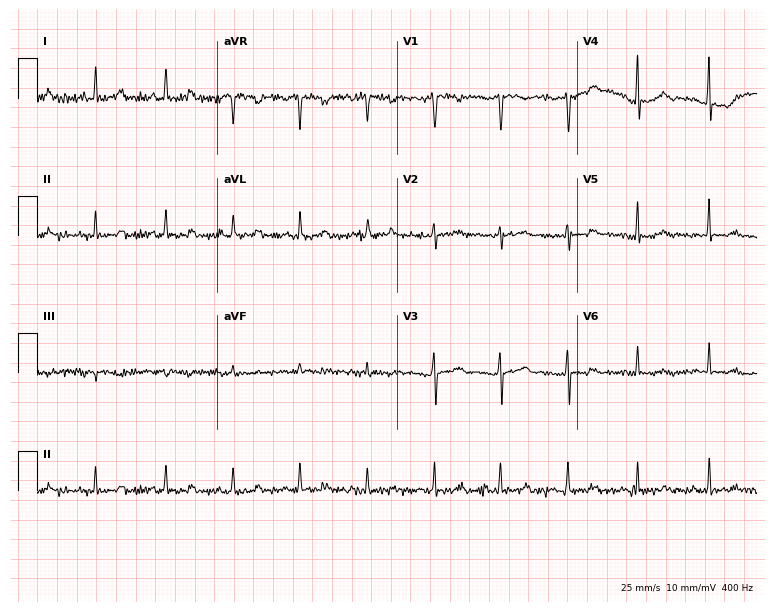
Resting 12-lead electrocardiogram. Patient: a 37-year-old female. None of these six findings is recorded: first-degree AV block, right bundle branch block (RBBB), left bundle branch block (LBBB), sinus bradycardia, atrial fibrillation (AF), sinus tachycardia.